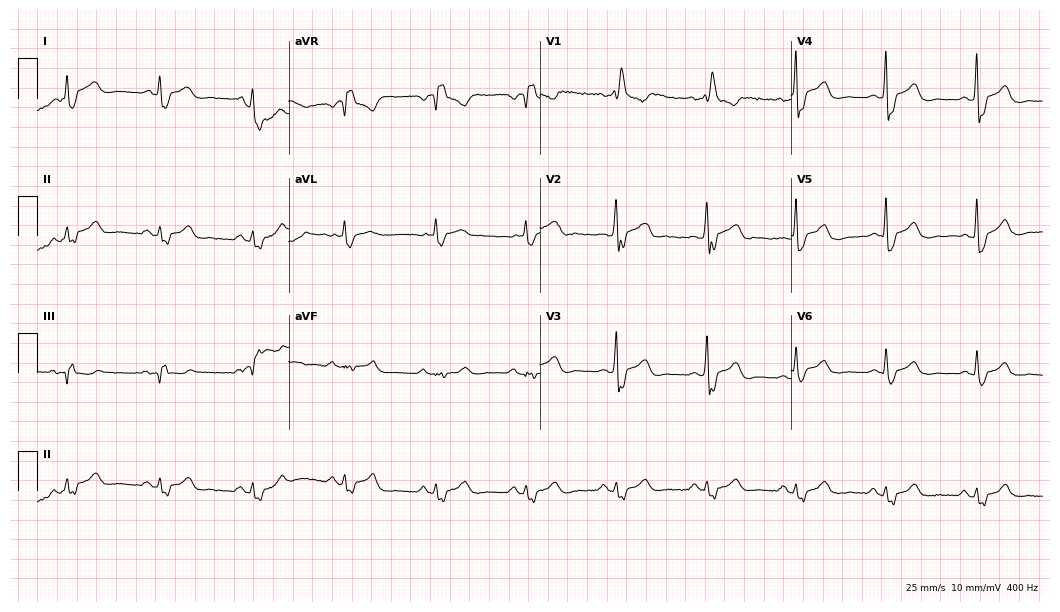
Resting 12-lead electrocardiogram. Patient: a male, 59 years old. The tracing shows right bundle branch block (RBBB).